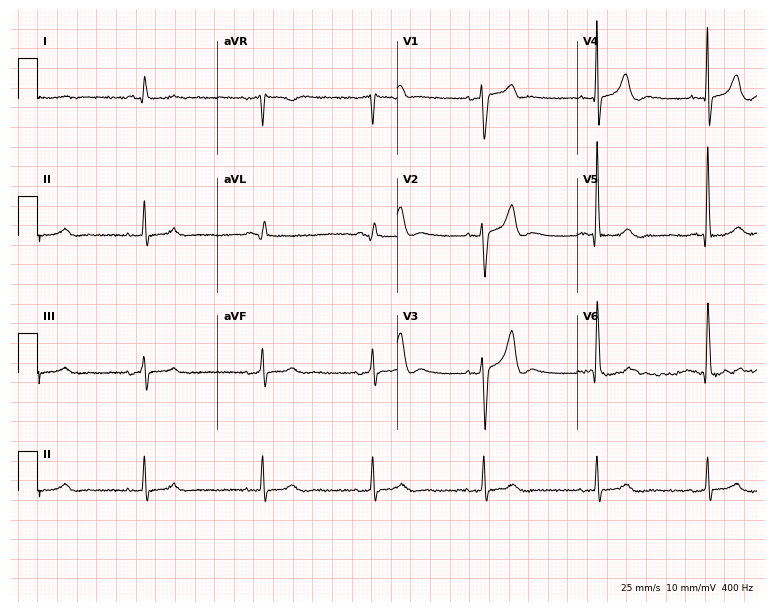
Standard 12-lead ECG recorded from a 51-year-old male (7.3-second recording at 400 Hz). Read as a normal ECG.